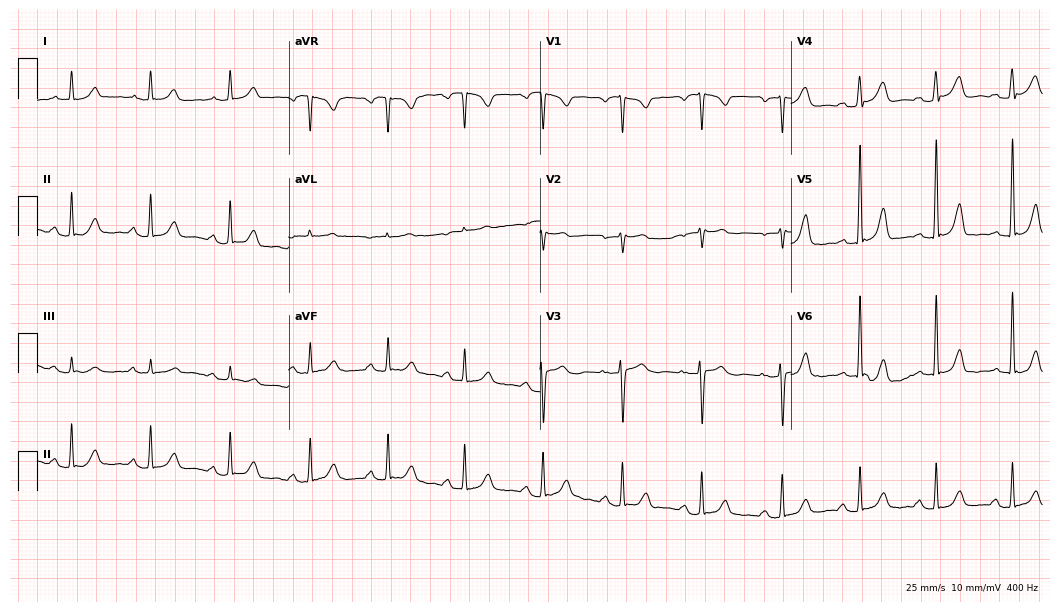
Electrocardiogram (10.2-second recording at 400 Hz), a woman, 70 years old. Of the six screened findings (first-degree AV block, right bundle branch block (RBBB), left bundle branch block (LBBB), sinus bradycardia, atrial fibrillation (AF), sinus tachycardia), none is recorded. Other findings, if any, are not listed.